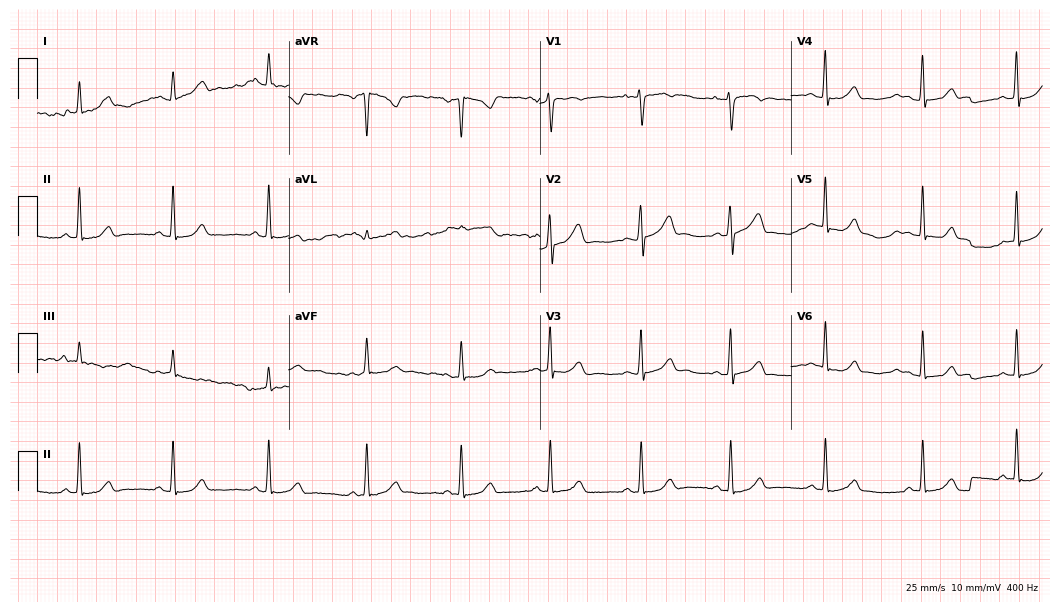
Resting 12-lead electrocardiogram (10.2-second recording at 400 Hz). Patient: a 26-year-old woman. Read as a normal ECG.